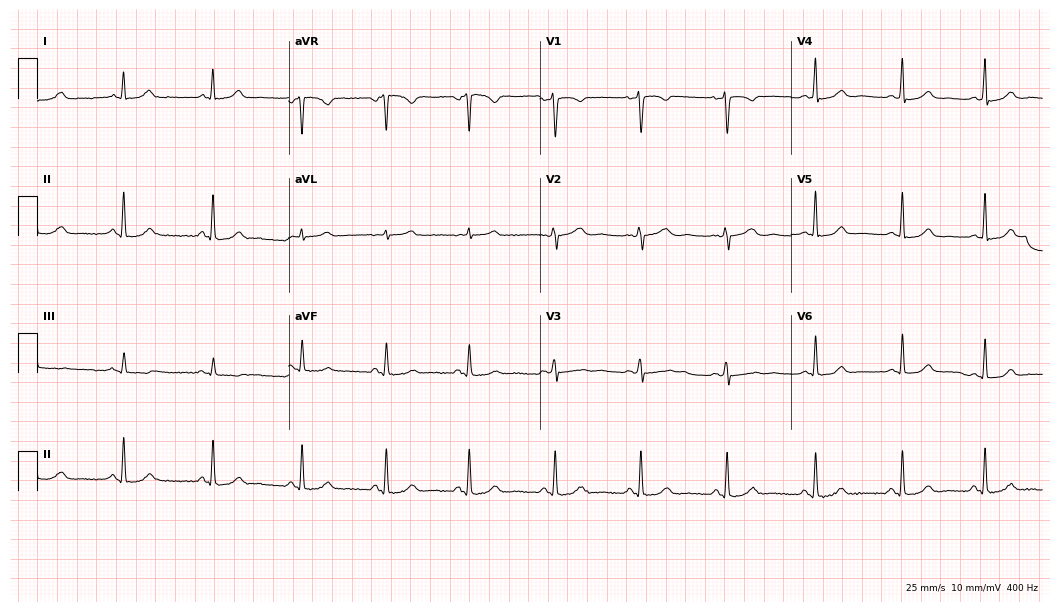
Resting 12-lead electrocardiogram (10.2-second recording at 400 Hz). Patient: a female, 43 years old. Read as a normal ECG.